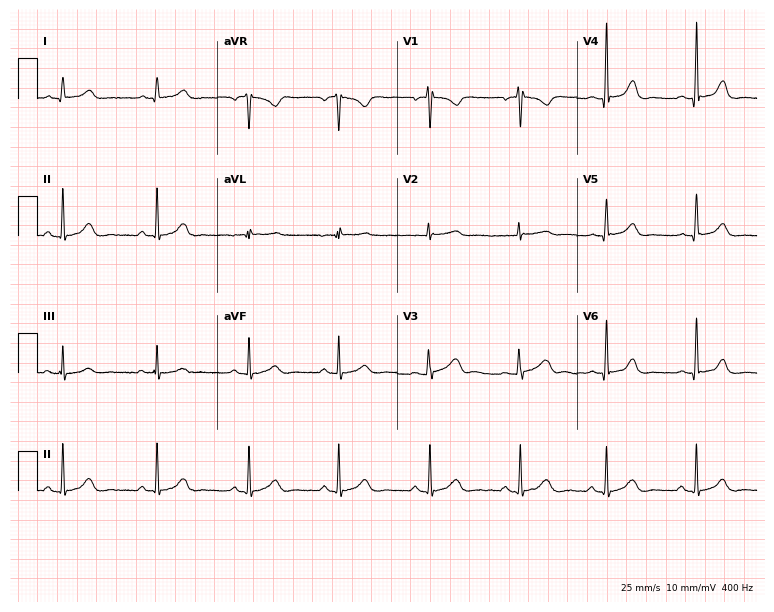
Resting 12-lead electrocardiogram. Patient: a female, 39 years old. Read as a normal ECG.